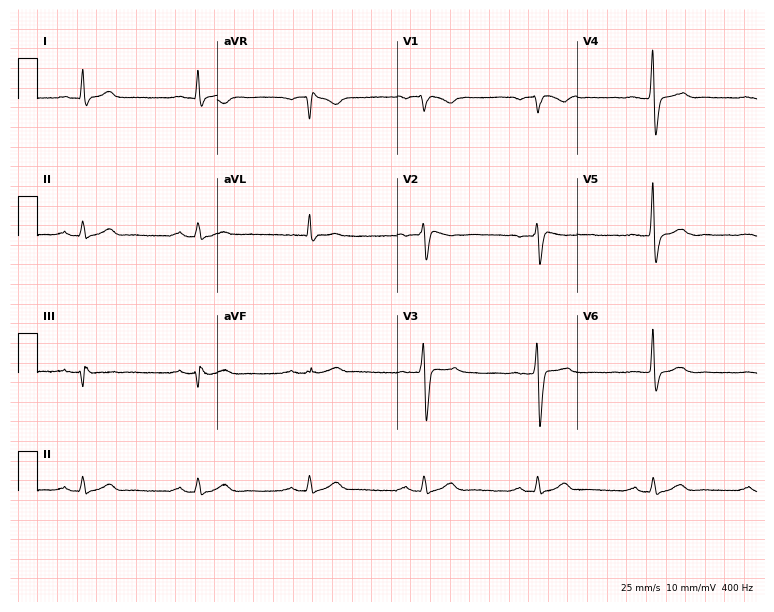
12-lead ECG from a 45-year-old male patient (7.3-second recording at 400 Hz). Shows first-degree AV block.